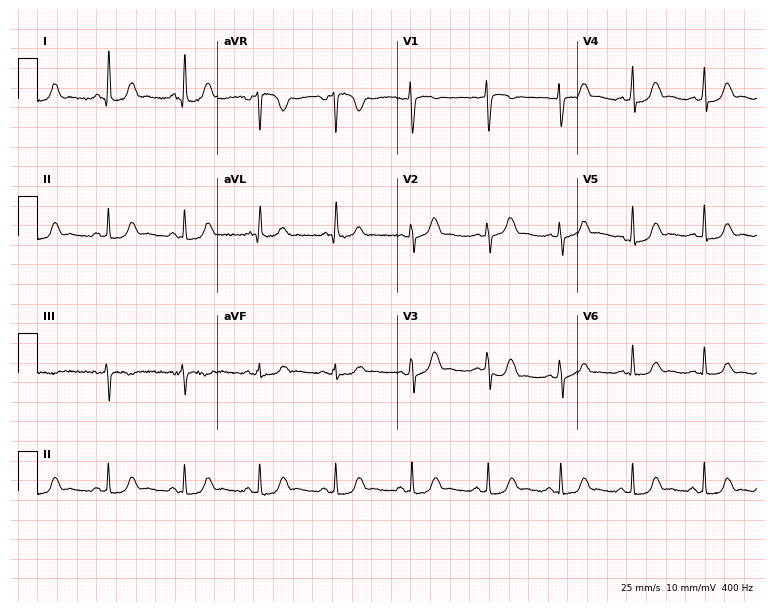
Resting 12-lead electrocardiogram. Patient: a female, 50 years old. Read as a normal ECG.